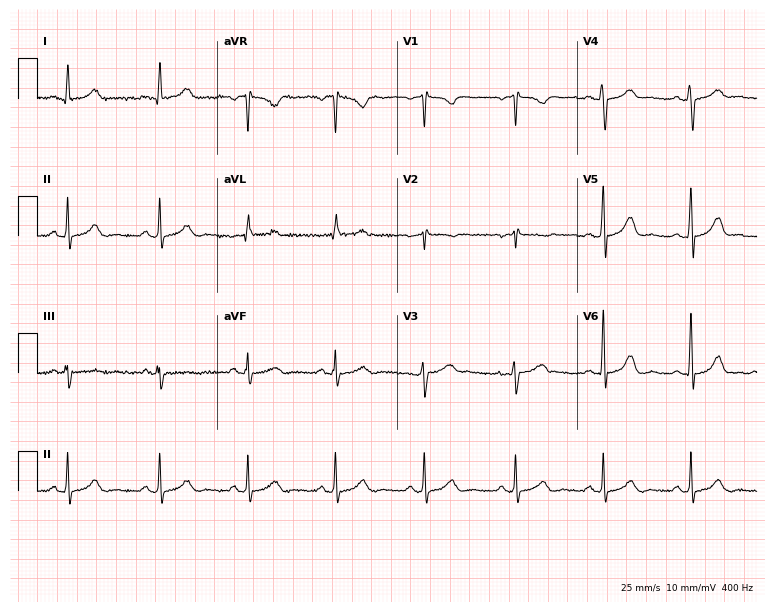
Resting 12-lead electrocardiogram. Patient: a 40-year-old woman. None of these six findings is recorded: first-degree AV block, right bundle branch block, left bundle branch block, sinus bradycardia, atrial fibrillation, sinus tachycardia. Other findings, if any, are not listed.